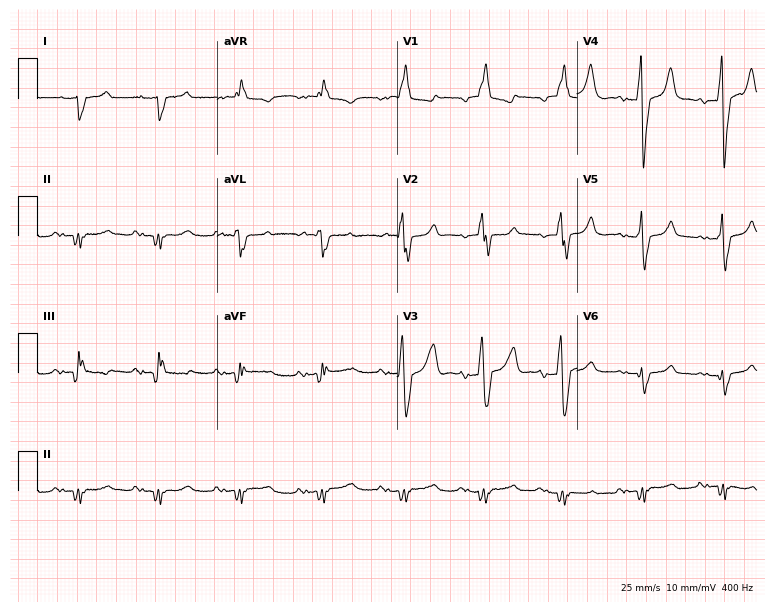
ECG — a male patient, 64 years old. Findings include right bundle branch block (RBBB).